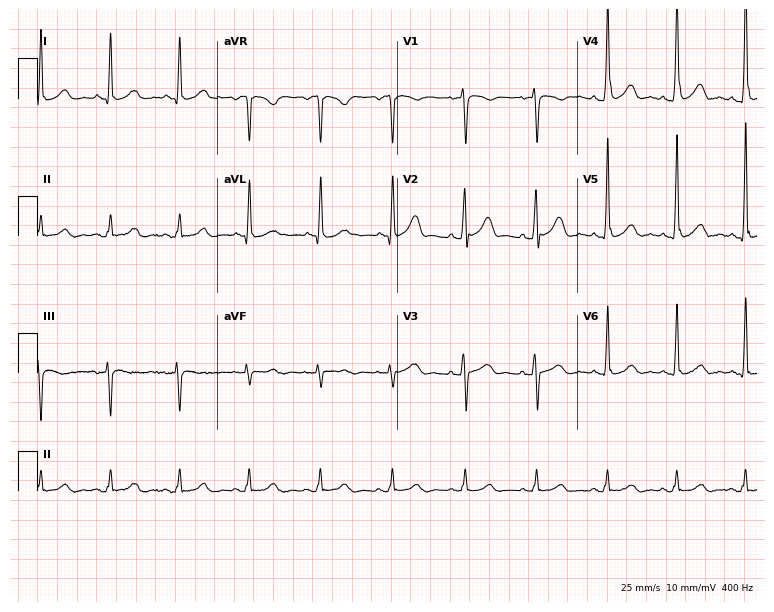
12-lead ECG from a 43-year-old male patient. No first-degree AV block, right bundle branch block, left bundle branch block, sinus bradycardia, atrial fibrillation or sinus tachycardia recorded for this tracing.